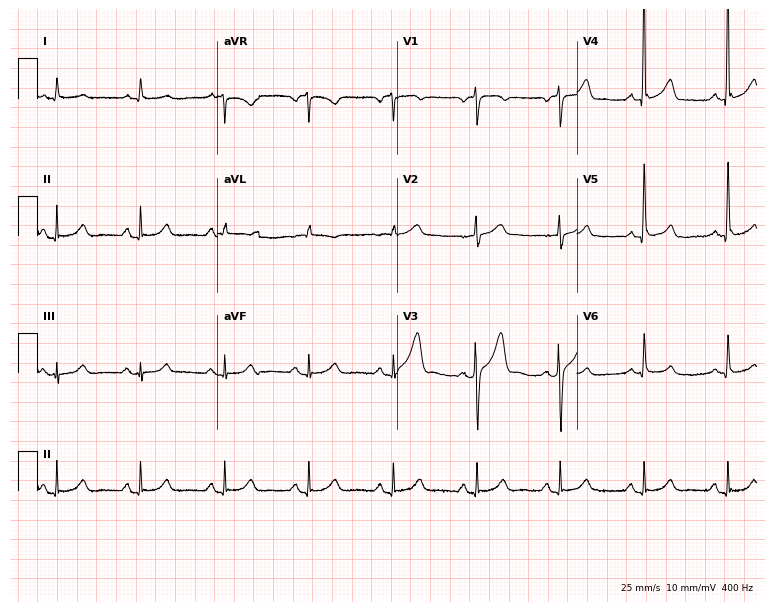
Standard 12-lead ECG recorded from an 87-year-old male (7.3-second recording at 400 Hz). None of these six findings is recorded: first-degree AV block, right bundle branch block, left bundle branch block, sinus bradycardia, atrial fibrillation, sinus tachycardia.